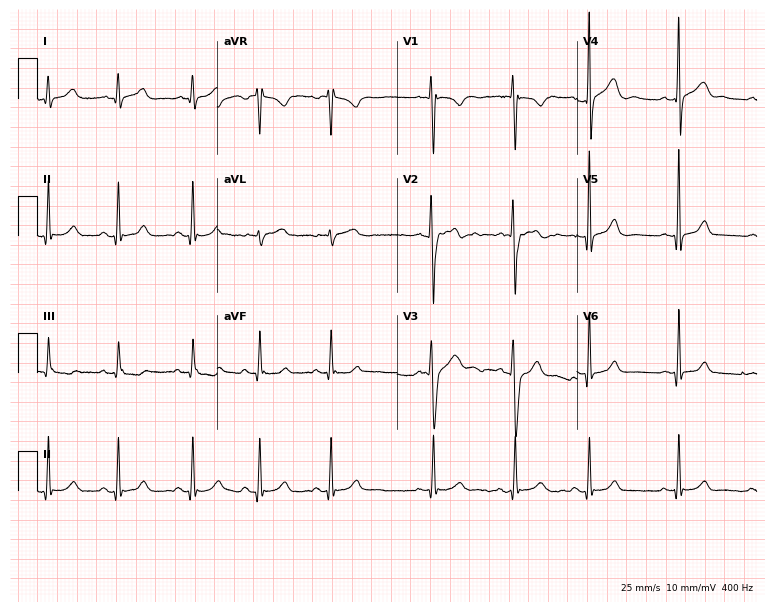
Standard 12-lead ECG recorded from a 24-year-old male. Read as a normal ECG.